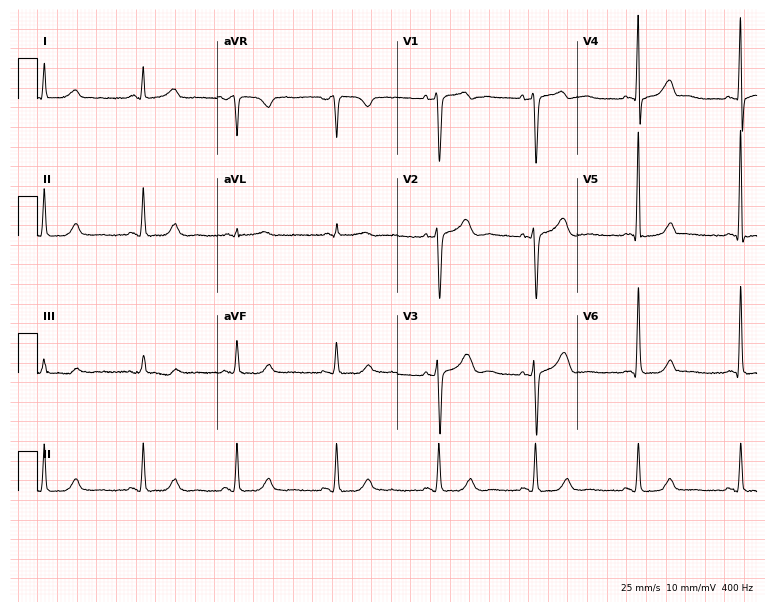
12-lead ECG from a woman, 47 years old. Labelled as a normal ECG.